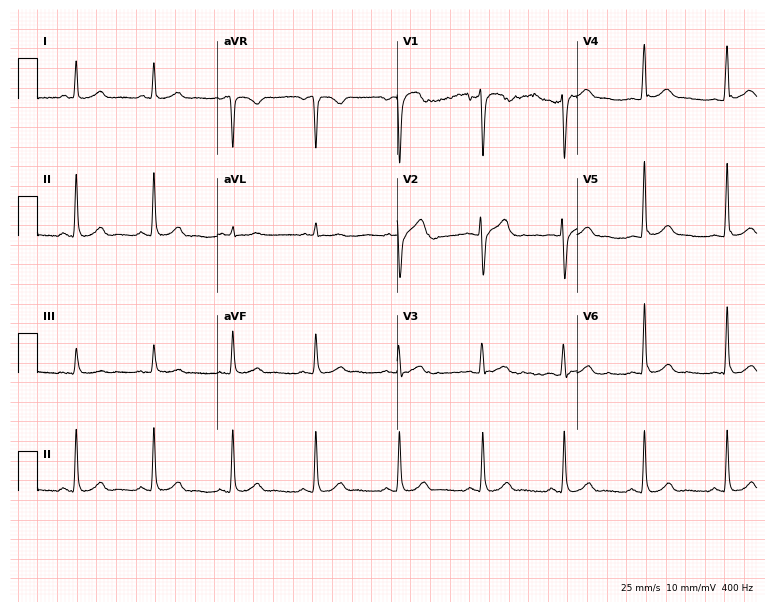
Resting 12-lead electrocardiogram. Patient: a man, 31 years old. Read as a normal ECG.